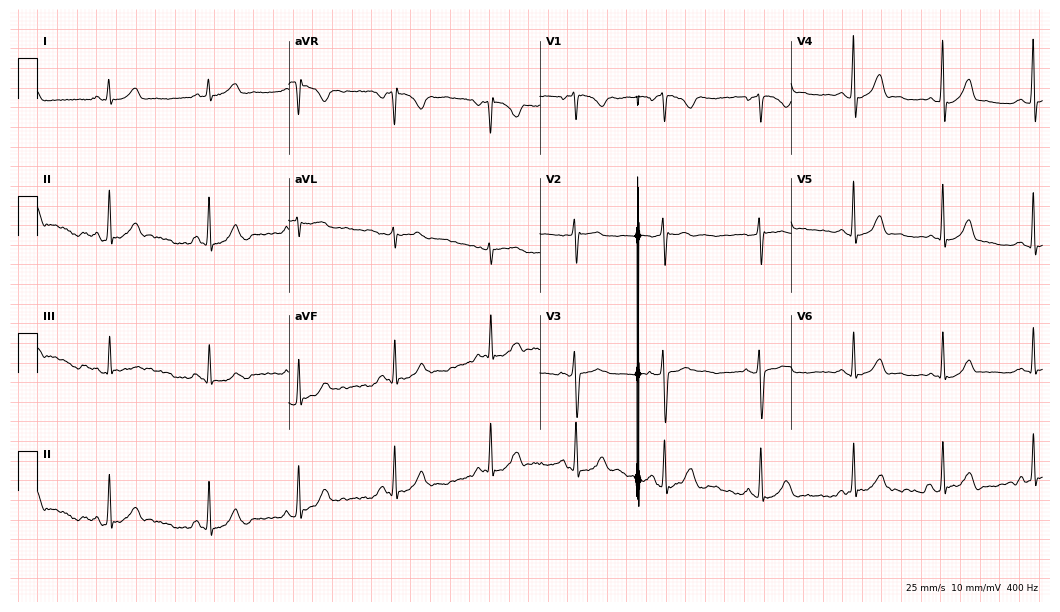
ECG (10.2-second recording at 400 Hz) — a female, 22 years old. Screened for six findings — first-degree AV block, right bundle branch block, left bundle branch block, sinus bradycardia, atrial fibrillation, sinus tachycardia — none is recorded. Only these six findings were labelled.